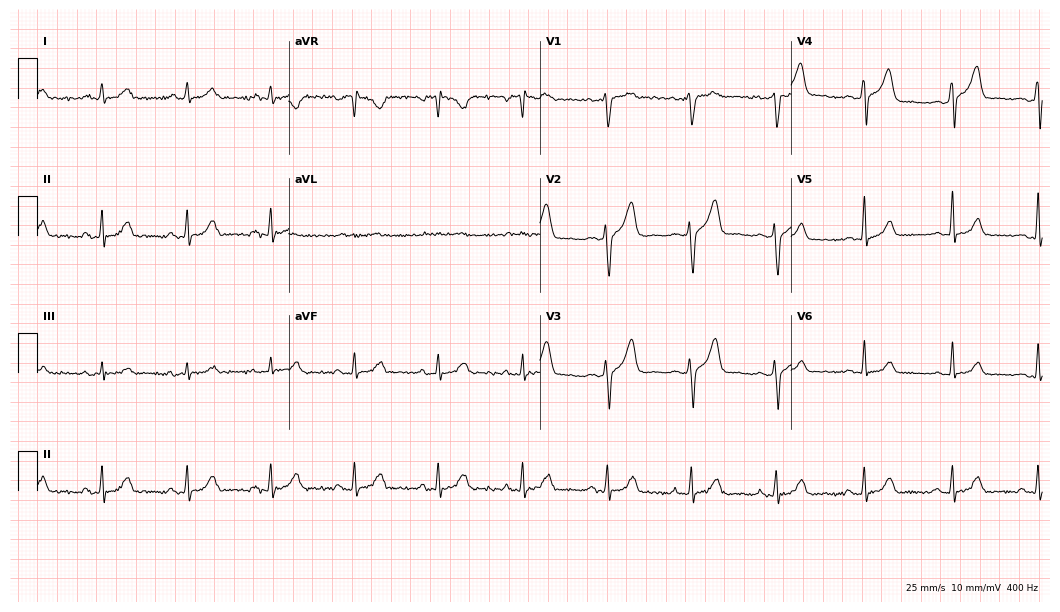
12-lead ECG from a man, 43 years old. Labelled as a normal ECG.